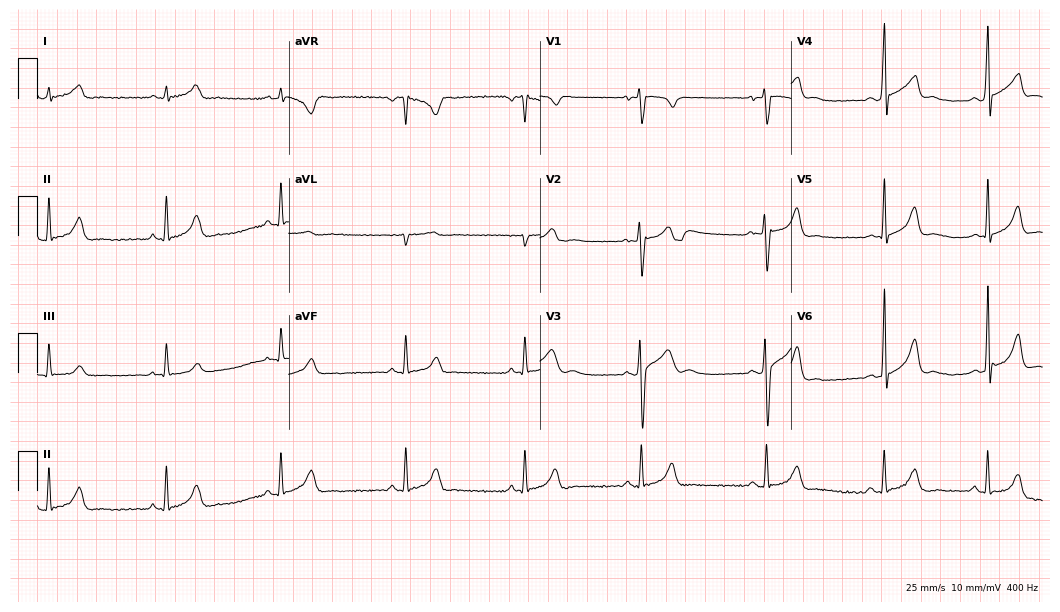
Resting 12-lead electrocardiogram (10.2-second recording at 400 Hz). Patient: a 21-year-old man. The tracing shows sinus bradycardia (a sinus rate of 50 beats per minute or less).